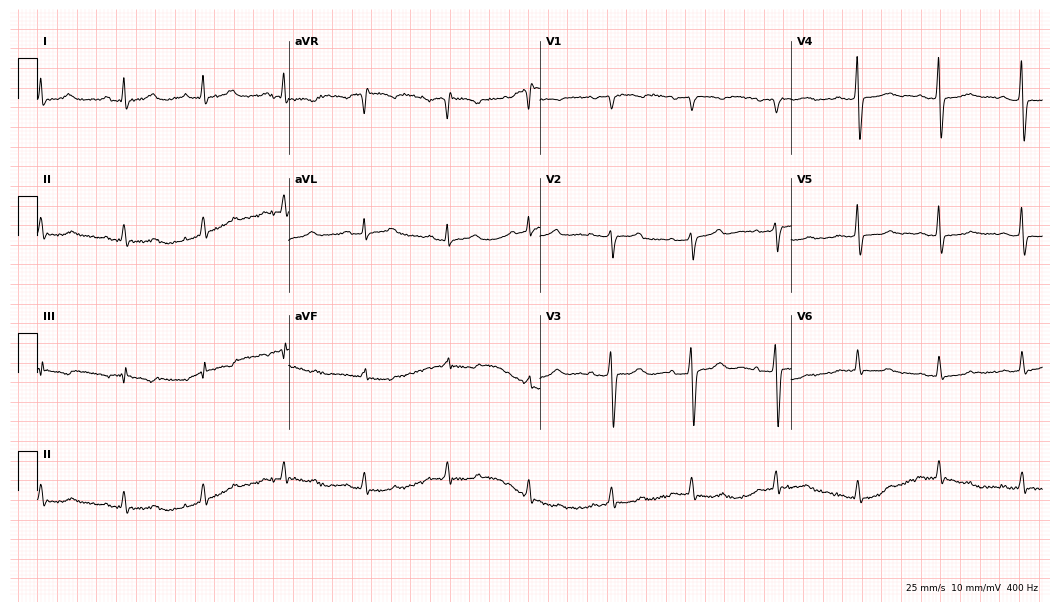
Standard 12-lead ECG recorded from a 47-year-old female patient. None of these six findings is recorded: first-degree AV block, right bundle branch block, left bundle branch block, sinus bradycardia, atrial fibrillation, sinus tachycardia.